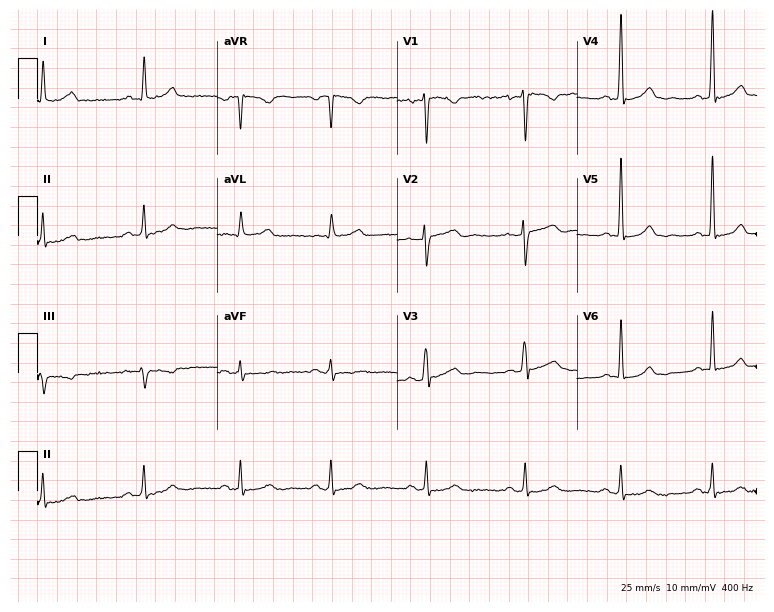
Resting 12-lead electrocardiogram (7.3-second recording at 400 Hz). Patient: a woman, 34 years old. None of these six findings is recorded: first-degree AV block, right bundle branch block, left bundle branch block, sinus bradycardia, atrial fibrillation, sinus tachycardia. Findings outside these six are not listed.